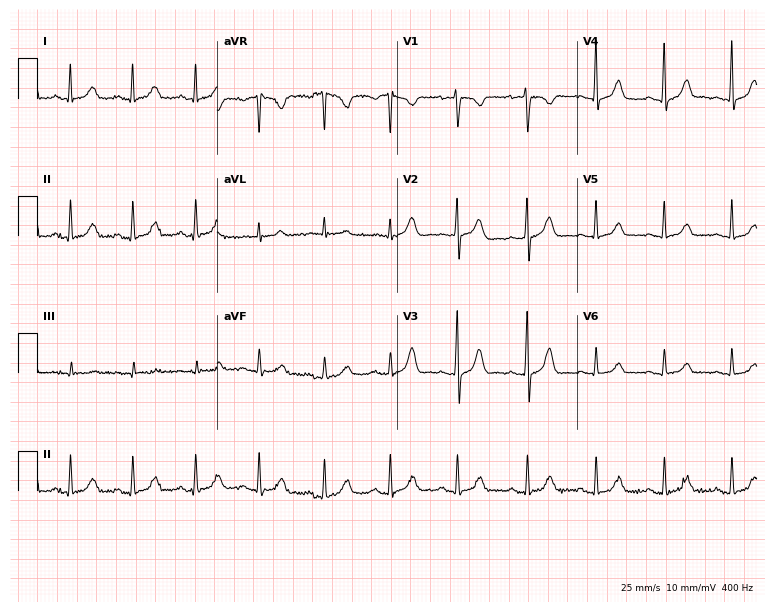
12-lead ECG from a 57-year-old female patient (7.3-second recording at 400 Hz). Recorded interpretation: within normal limits.